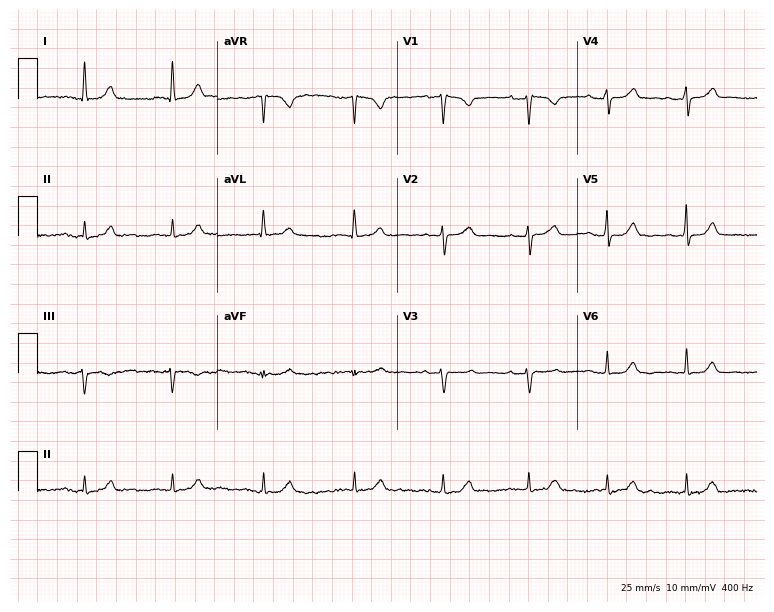
Electrocardiogram (7.3-second recording at 400 Hz), an 82-year-old female. Overall reading on record: normal ECG.